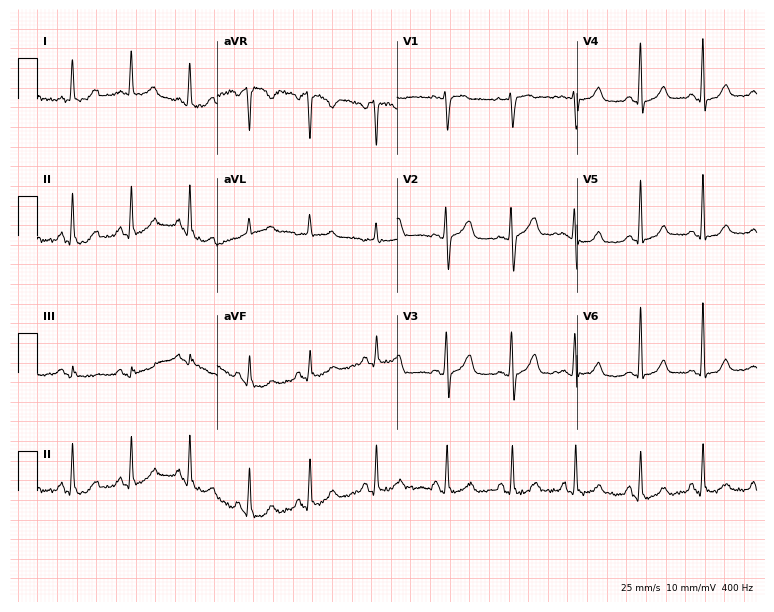
Standard 12-lead ECG recorded from a 54-year-old woman. None of these six findings is recorded: first-degree AV block, right bundle branch block (RBBB), left bundle branch block (LBBB), sinus bradycardia, atrial fibrillation (AF), sinus tachycardia.